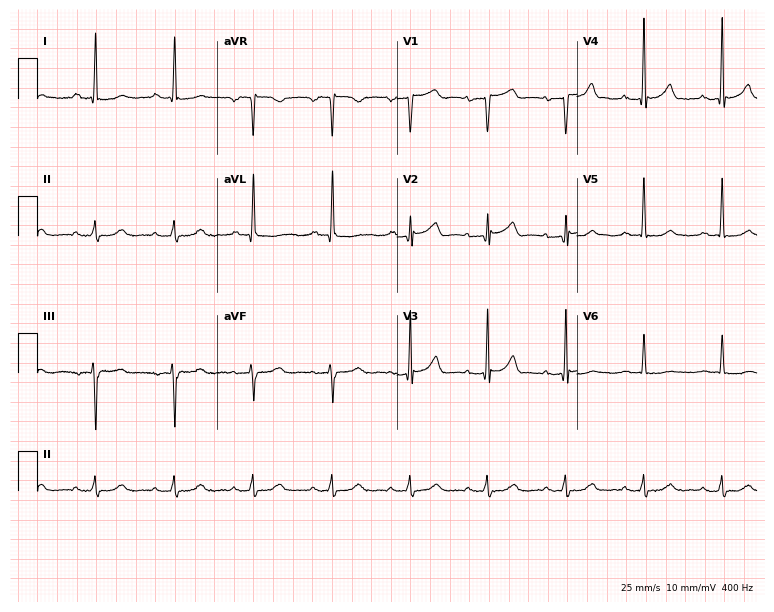
Standard 12-lead ECG recorded from a 51-year-old woman. None of these six findings is recorded: first-degree AV block, right bundle branch block, left bundle branch block, sinus bradycardia, atrial fibrillation, sinus tachycardia. Only these six findings were labelled.